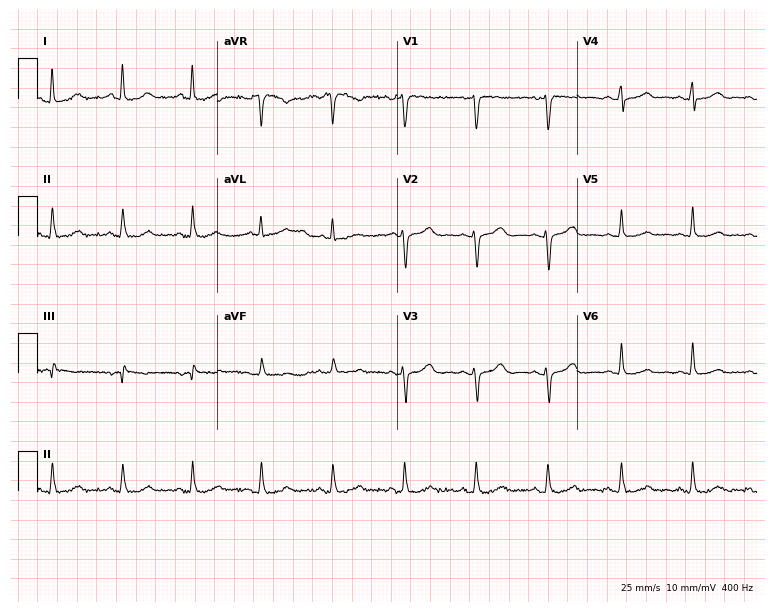
Standard 12-lead ECG recorded from a woman, 41 years old. None of these six findings is recorded: first-degree AV block, right bundle branch block, left bundle branch block, sinus bradycardia, atrial fibrillation, sinus tachycardia. Other findings, if any, are not listed.